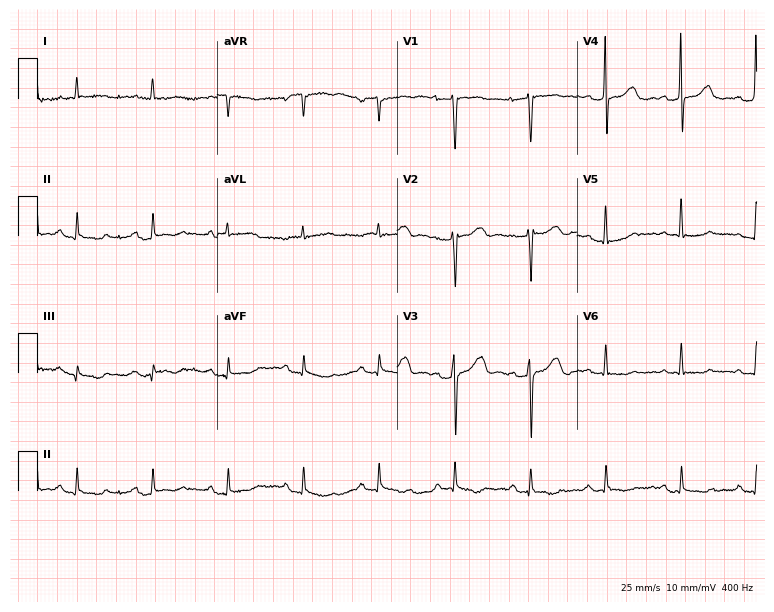
Standard 12-lead ECG recorded from a 74-year-old female (7.3-second recording at 400 Hz). None of these six findings is recorded: first-degree AV block, right bundle branch block, left bundle branch block, sinus bradycardia, atrial fibrillation, sinus tachycardia.